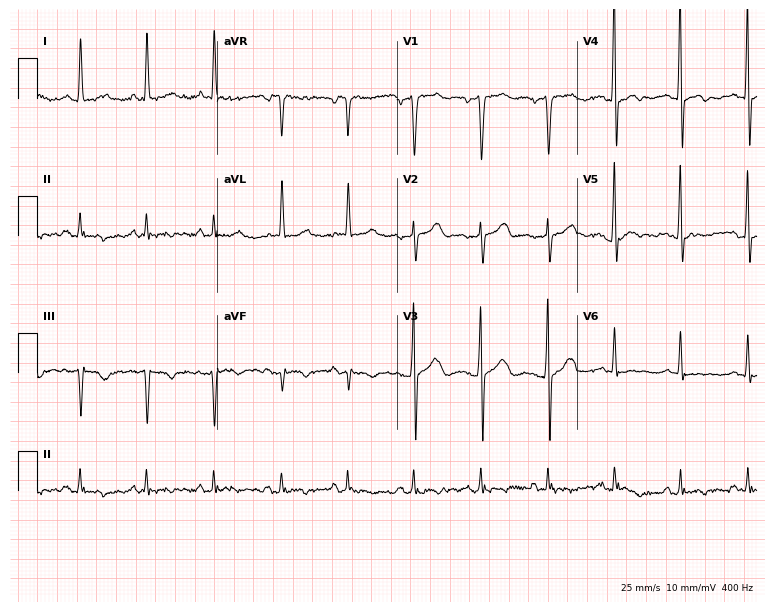
Resting 12-lead electrocardiogram (7.3-second recording at 400 Hz). Patient: a female, 41 years old. None of these six findings is recorded: first-degree AV block, right bundle branch block, left bundle branch block, sinus bradycardia, atrial fibrillation, sinus tachycardia.